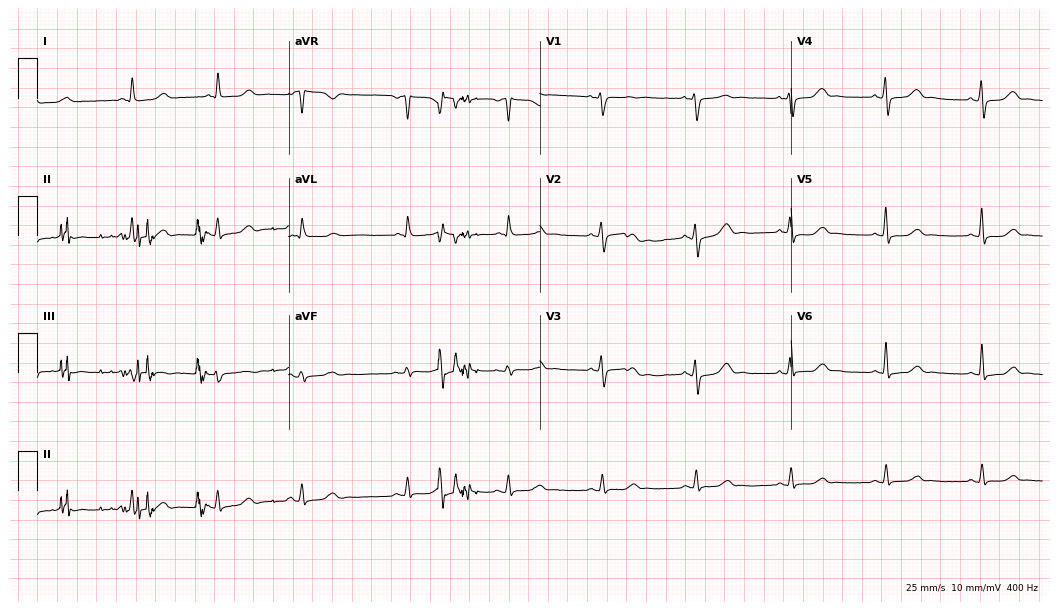
12-lead ECG from a 51-year-old female. No first-degree AV block, right bundle branch block (RBBB), left bundle branch block (LBBB), sinus bradycardia, atrial fibrillation (AF) or sinus tachycardia recorded for this tracing.